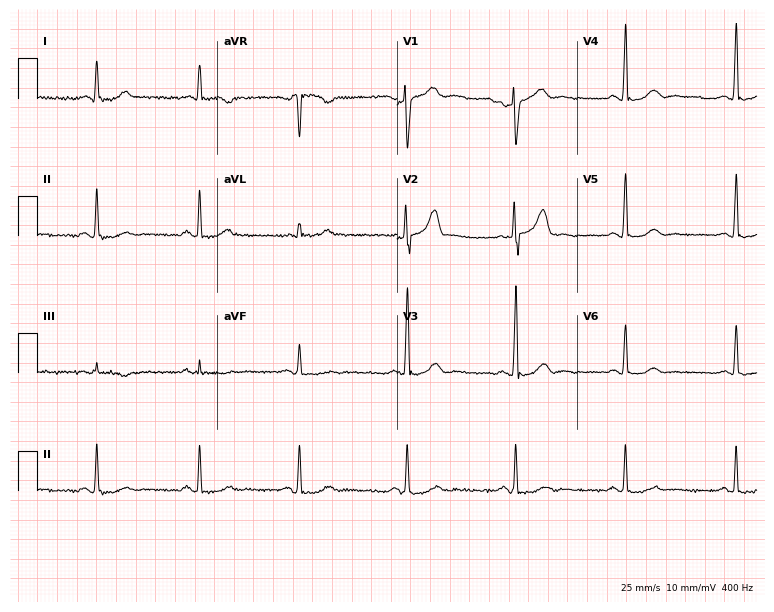
12-lead ECG from a male patient, 56 years old. No first-degree AV block, right bundle branch block, left bundle branch block, sinus bradycardia, atrial fibrillation or sinus tachycardia recorded for this tracing. Only these six findings were labelled.